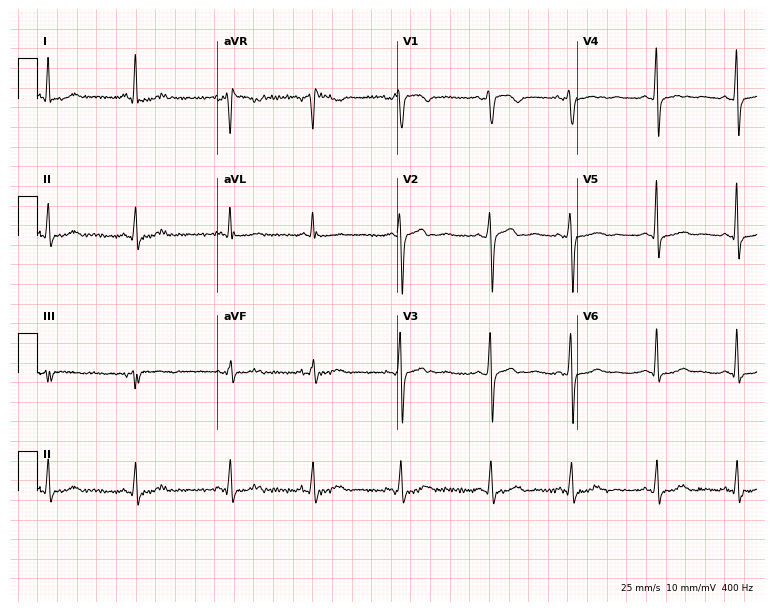
Resting 12-lead electrocardiogram. Patient: a woman, 47 years old. None of these six findings is recorded: first-degree AV block, right bundle branch block (RBBB), left bundle branch block (LBBB), sinus bradycardia, atrial fibrillation (AF), sinus tachycardia. Findings outside these six are not listed.